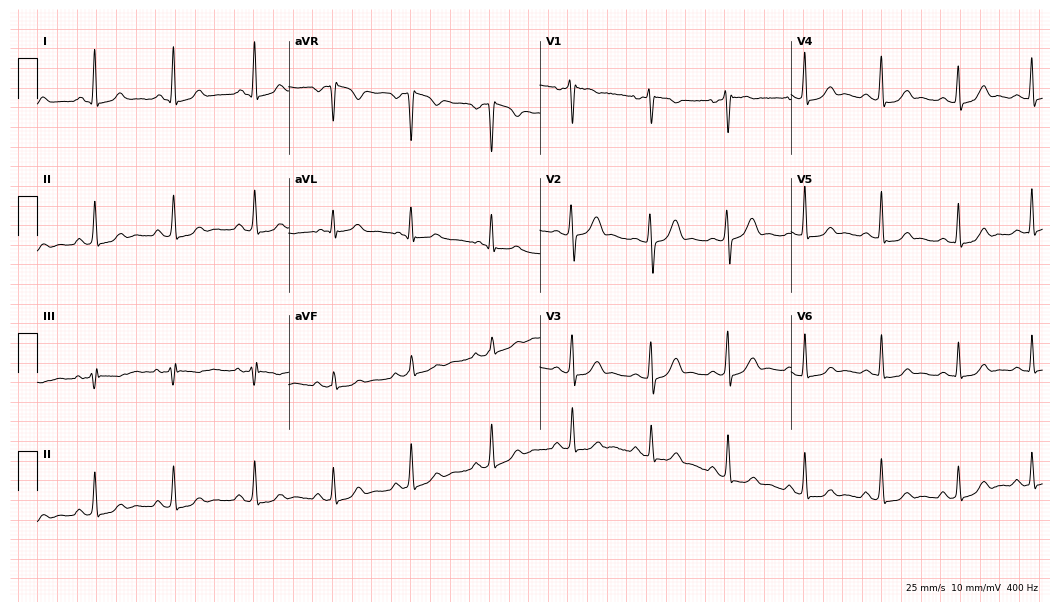
12-lead ECG (10.2-second recording at 400 Hz) from a female patient, 31 years old. Screened for six findings — first-degree AV block, right bundle branch block (RBBB), left bundle branch block (LBBB), sinus bradycardia, atrial fibrillation (AF), sinus tachycardia — none is recorded.